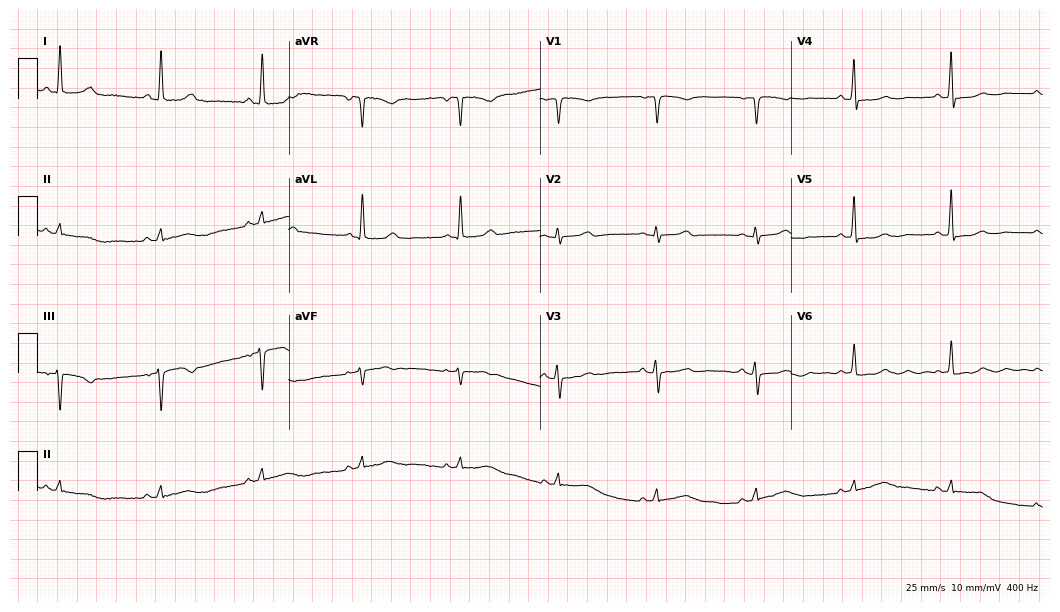
ECG — a 75-year-old female. Labelled as a normal ECG.